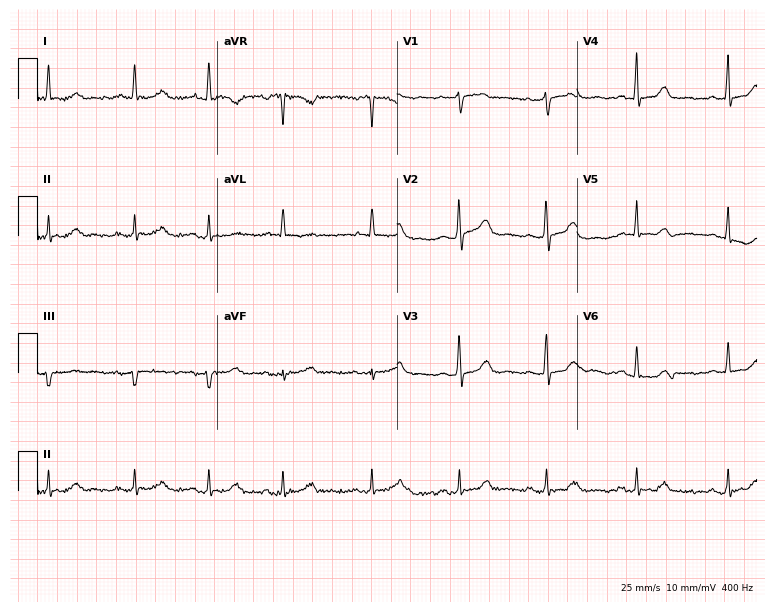
Electrocardiogram, a female, 63 years old. Overall reading on record: normal ECG.